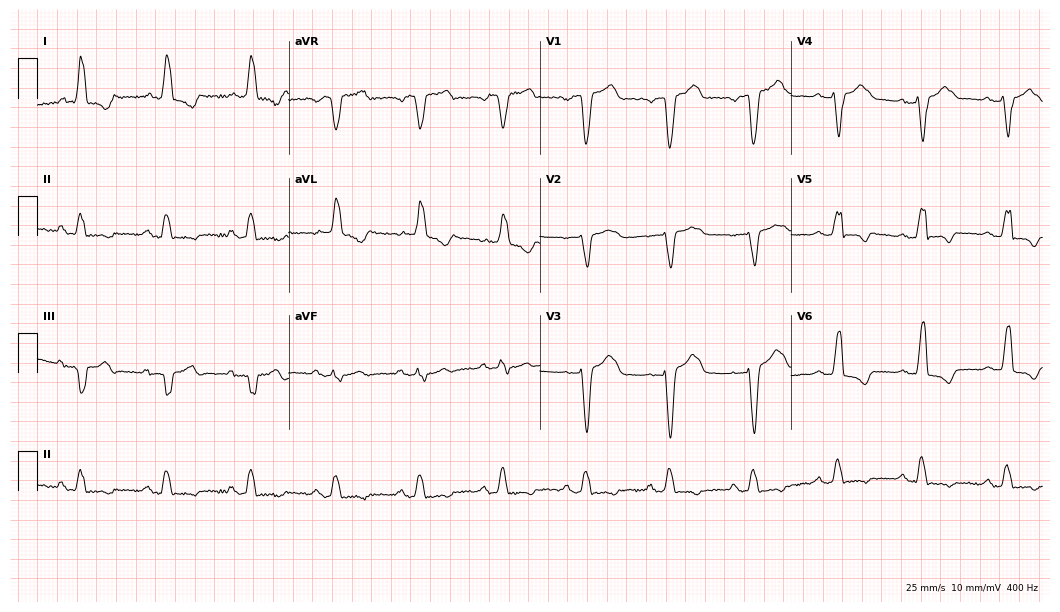
12-lead ECG from an 81-year-old female patient (10.2-second recording at 400 Hz). Shows left bundle branch block (LBBB).